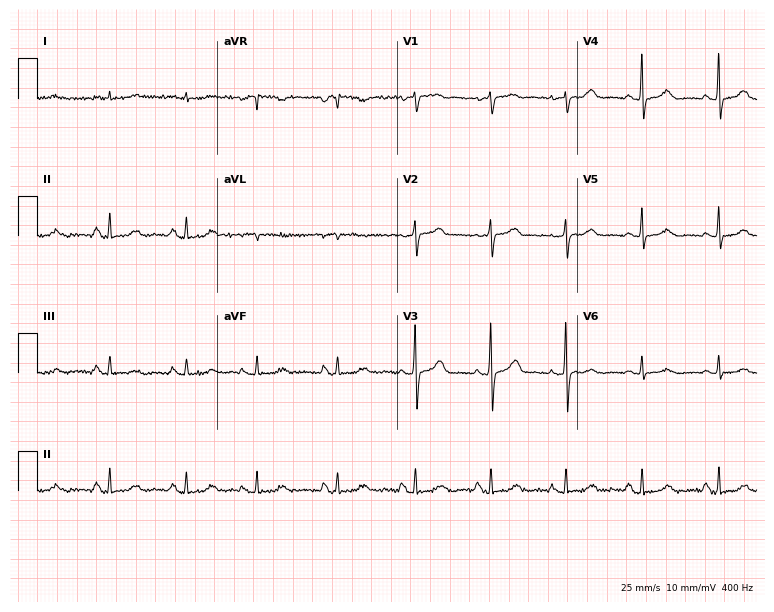
12-lead ECG (7.3-second recording at 400 Hz) from a male patient, 85 years old. Screened for six findings — first-degree AV block, right bundle branch block, left bundle branch block, sinus bradycardia, atrial fibrillation, sinus tachycardia — none is recorded. Other findings, if any, are not listed.